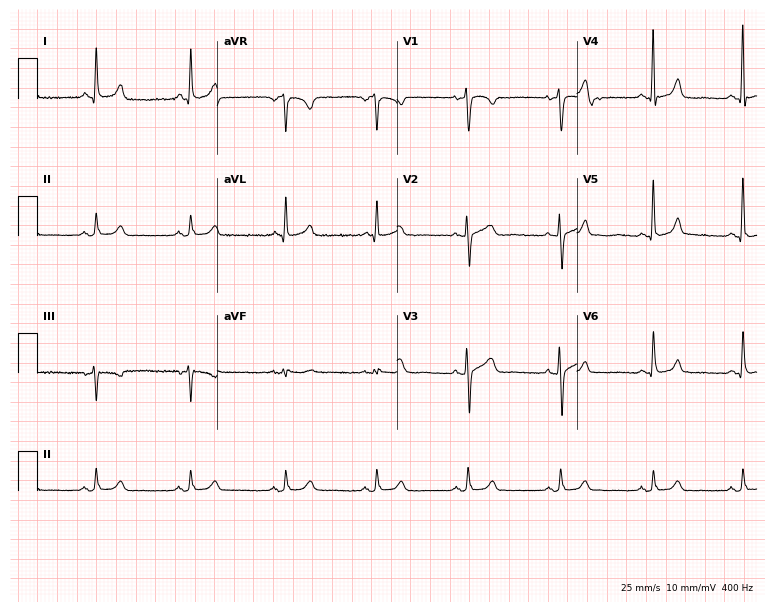
12-lead ECG from a 62-year-old female (7.3-second recording at 400 Hz). Recorded interpretation: within normal limits.